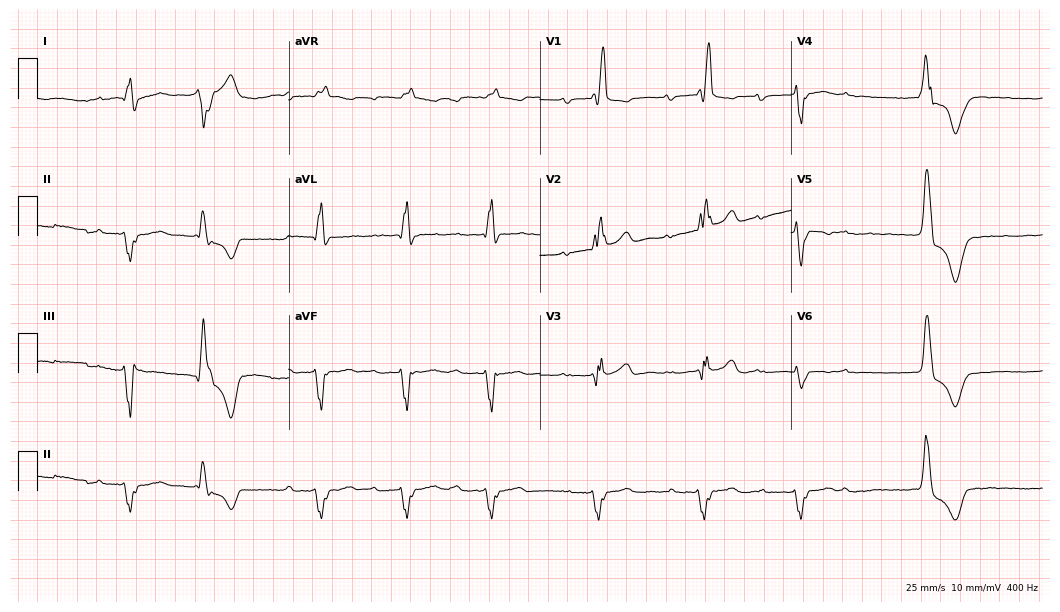
ECG — a male, 66 years old. Findings include first-degree AV block, left bundle branch block.